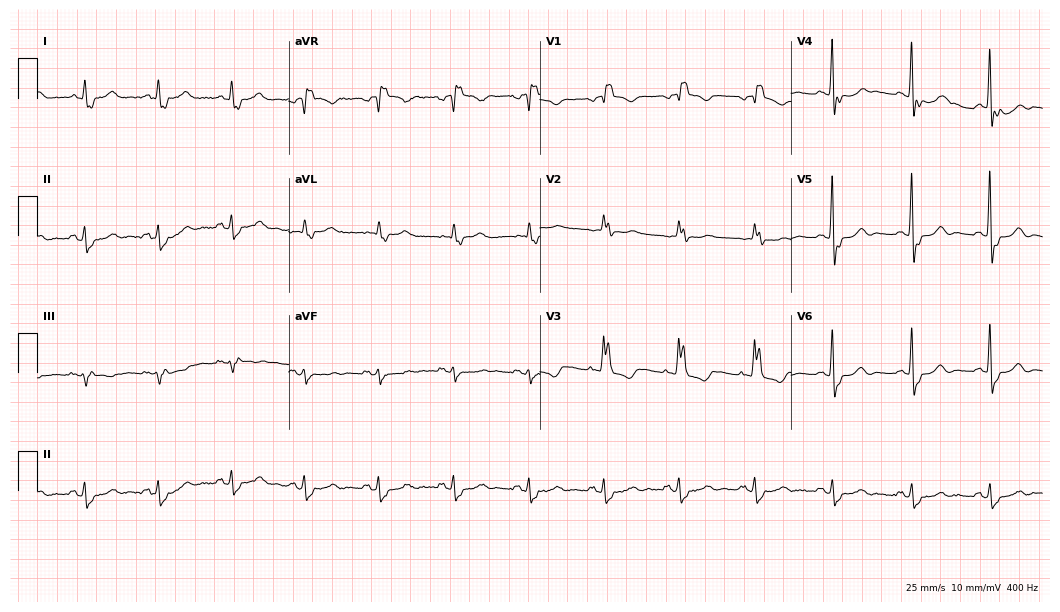
Electrocardiogram, a woman, 77 years old. Interpretation includes right bundle branch block.